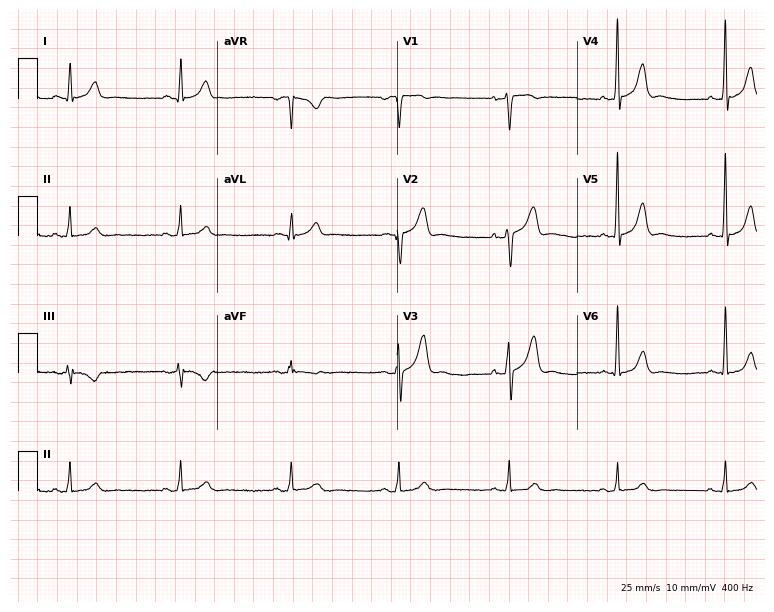
Electrocardiogram, a male patient, 46 years old. Overall reading on record: normal ECG.